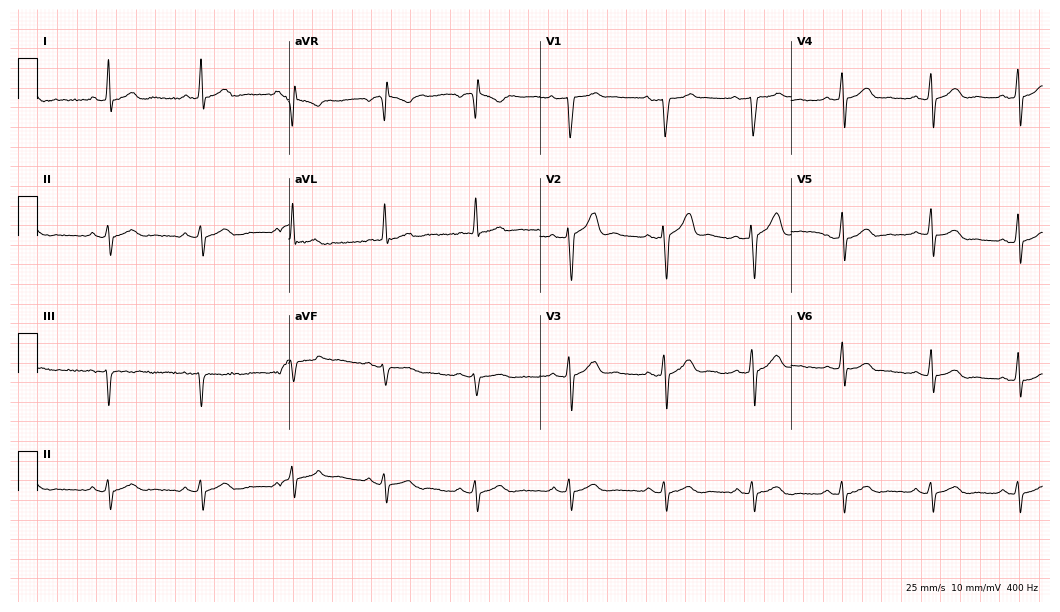
Resting 12-lead electrocardiogram (10.2-second recording at 400 Hz). Patient: a male, 27 years old. None of these six findings is recorded: first-degree AV block, right bundle branch block (RBBB), left bundle branch block (LBBB), sinus bradycardia, atrial fibrillation (AF), sinus tachycardia. Findings outside these six are not listed.